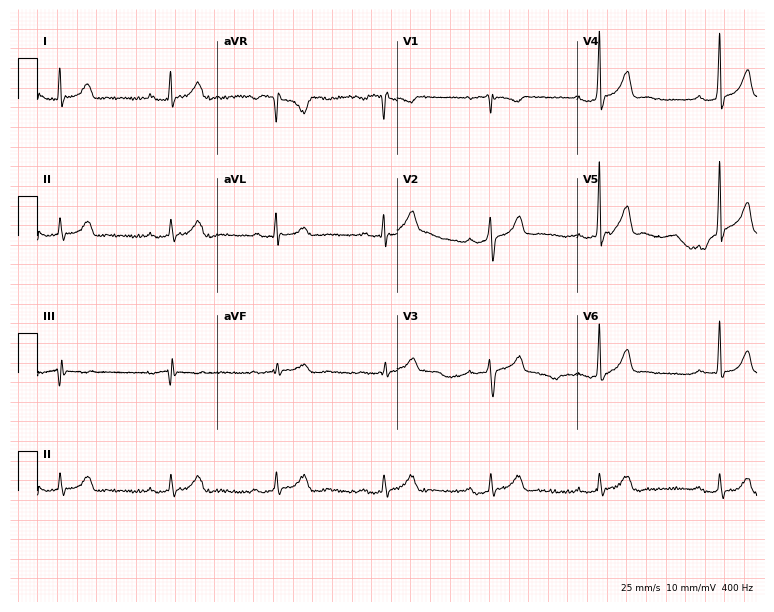
Resting 12-lead electrocardiogram. Patient: a male, 38 years old. Read as a normal ECG.